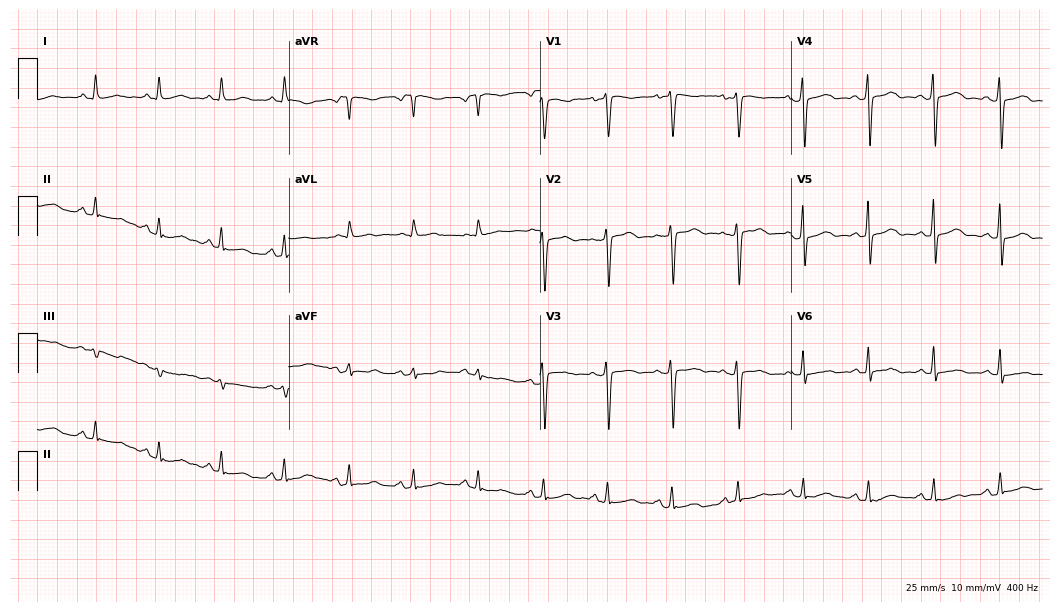
Resting 12-lead electrocardiogram (10.2-second recording at 400 Hz). Patient: a female, 45 years old. Read as a normal ECG.